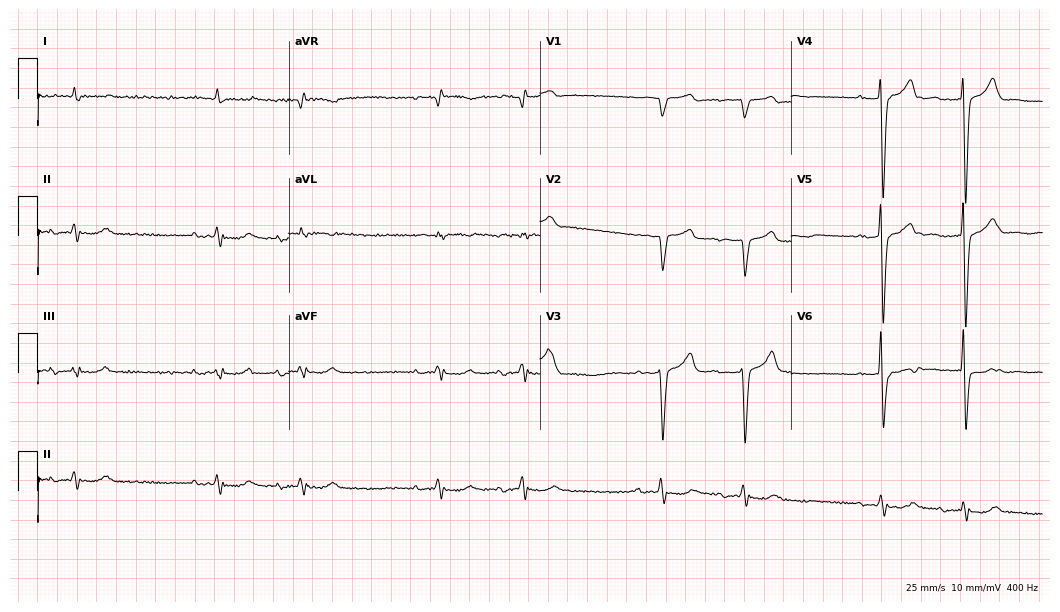
Standard 12-lead ECG recorded from a male patient, 78 years old (10.2-second recording at 400 Hz). None of these six findings is recorded: first-degree AV block, right bundle branch block, left bundle branch block, sinus bradycardia, atrial fibrillation, sinus tachycardia.